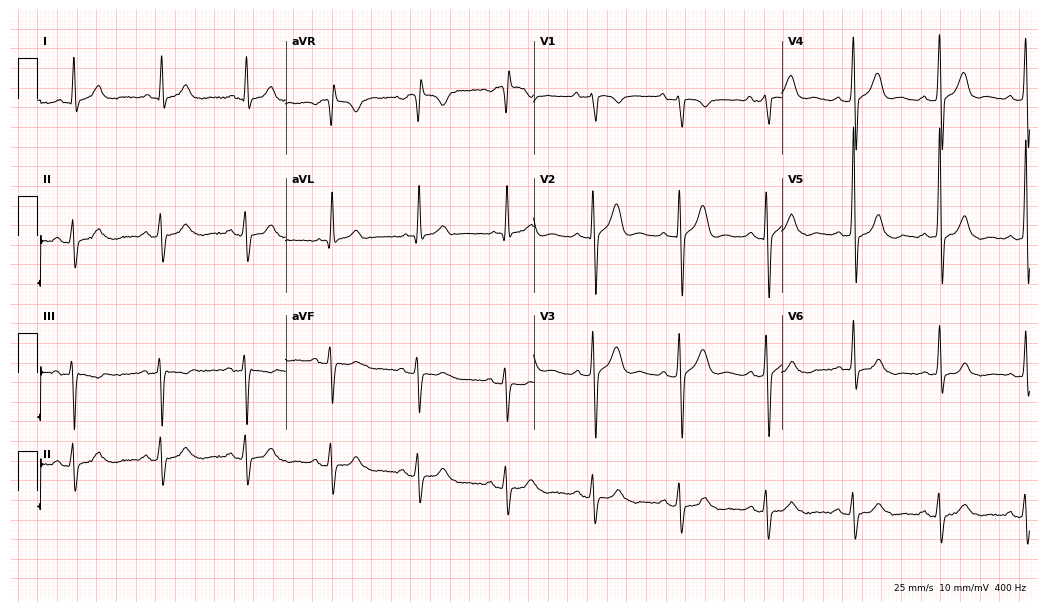
Resting 12-lead electrocardiogram (10.1-second recording at 400 Hz). Patient: a male, 57 years old. None of these six findings is recorded: first-degree AV block, right bundle branch block (RBBB), left bundle branch block (LBBB), sinus bradycardia, atrial fibrillation (AF), sinus tachycardia. Other findings, if any, are not listed.